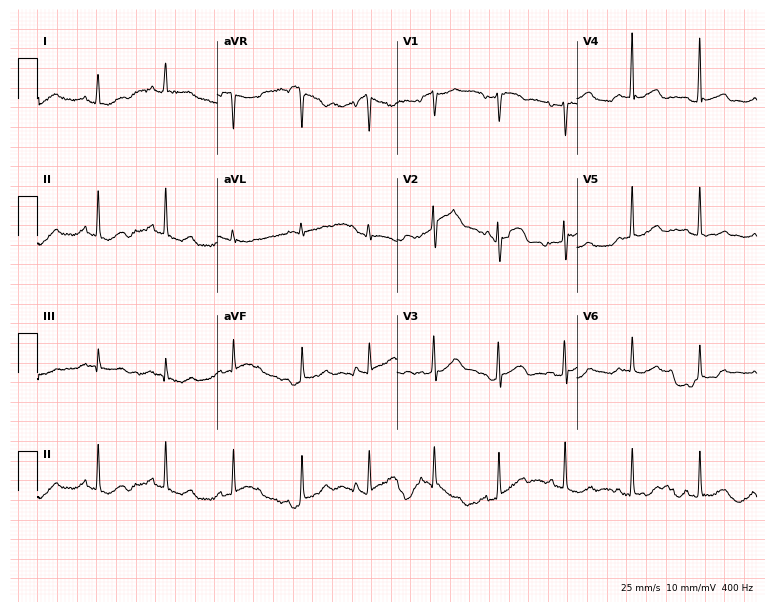
Standard 12-lead ECG recorded from a female patient, 51 years old. None of these six findings is recorded: first-degree AV block, right bundle branch block (RBBB), left bundle branch block (LBBB), sinus bradycardia, atrial fibrillation (AF), sinus tachycardia.